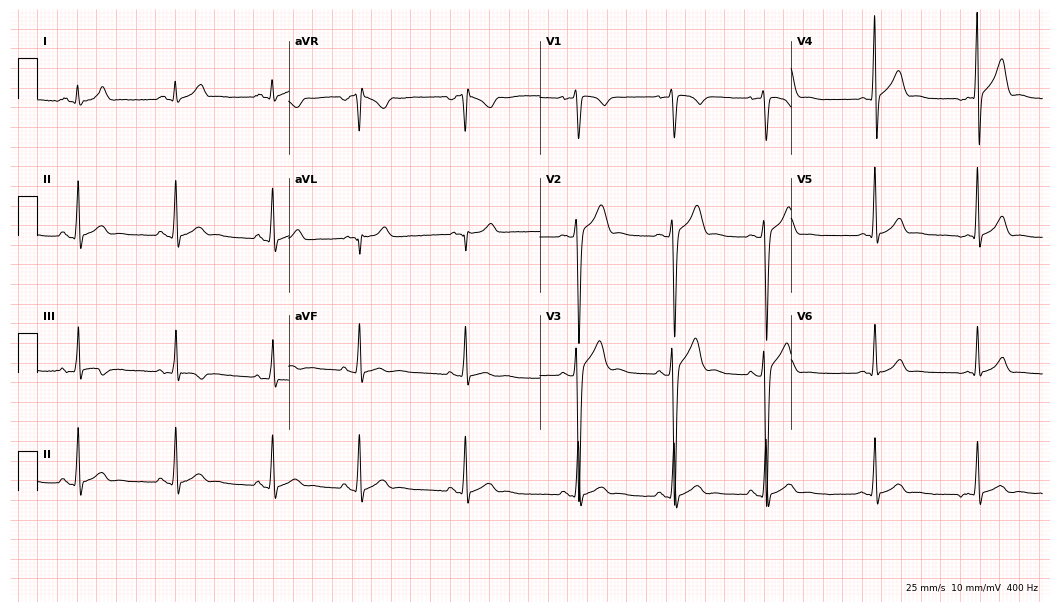
12-lead ECG from a man, 20 years old (10.2-second recording at 400 Hz). No first-degree AV block, right bundle branch block (RBBB), left bundle branch block (LBBB), sinus bradycardia, atrial fibrillation (AF) or sinus tachycardia recorded for this tracing. Findings outside these six are not listed.